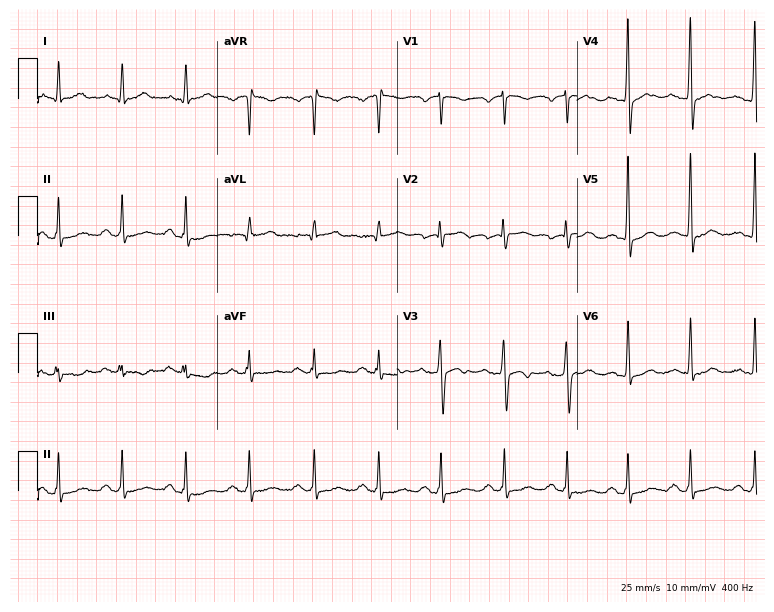
12-lead ECG (7.3-second recording at 400 Hz) from a man, 53 years old. Screened for six findings — first-degree AV block, right bundle branch block, left bundle branch block, sinus bradycardia, atrial fibrillation, sinus tachycardia — none is recorded.